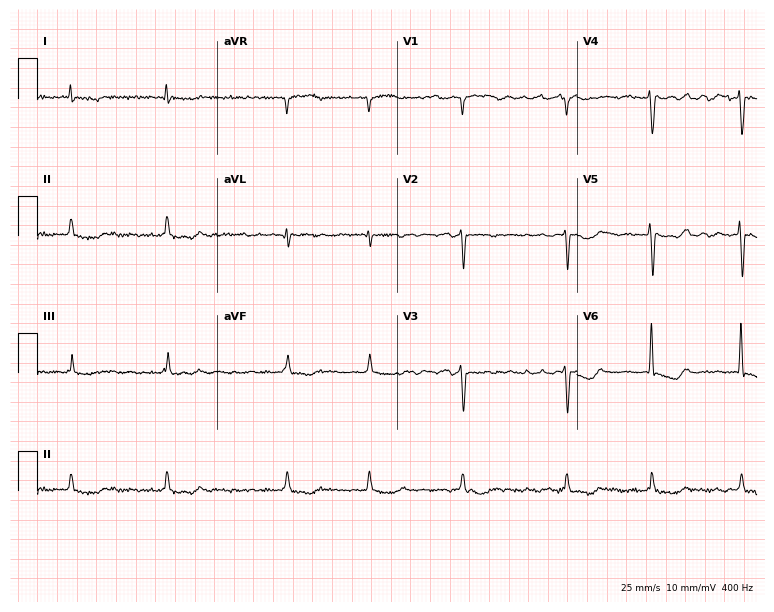
12-lead ECG from an 83-year-old woman. Findings include atrial fibrillation.